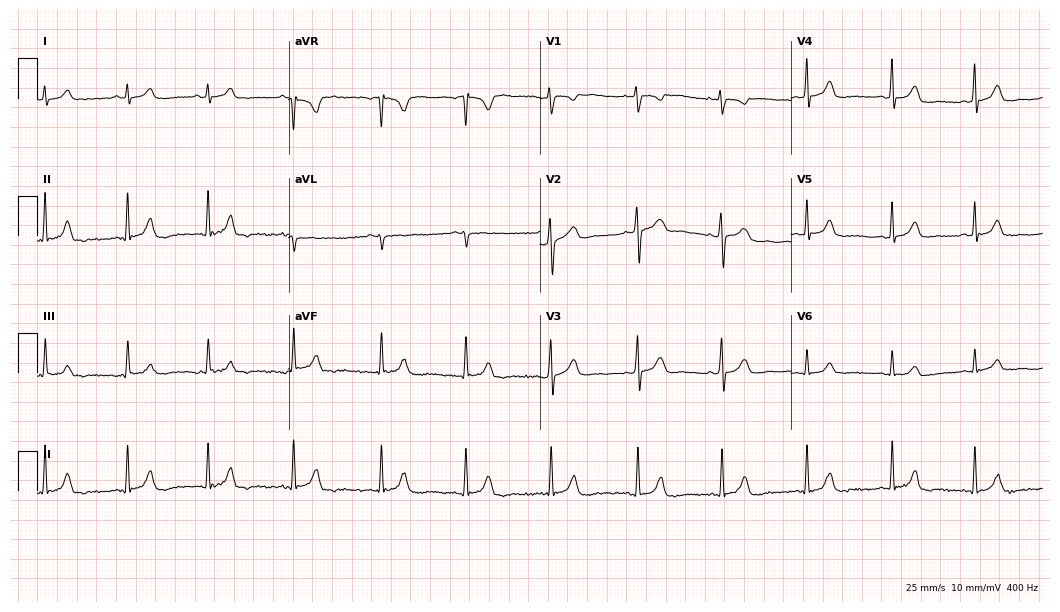
12-lead ECG from a 31-year-old female. Labelled as a normal ECG.